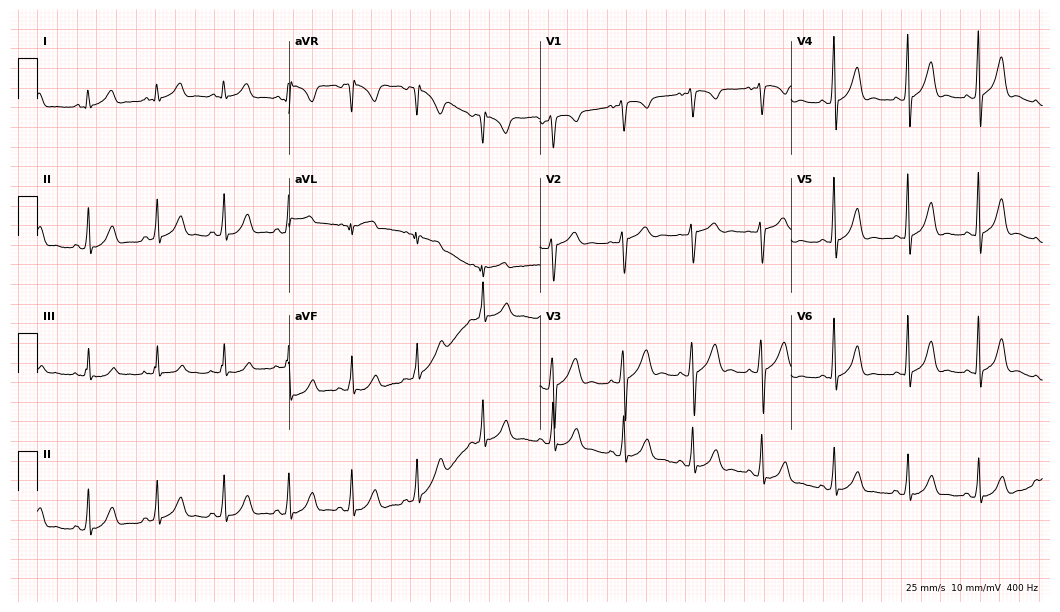
Standard 12-lead ECG recorded from a female, 29 years old (10.2-second recording at 400 Hz). Read as a normal ECG.